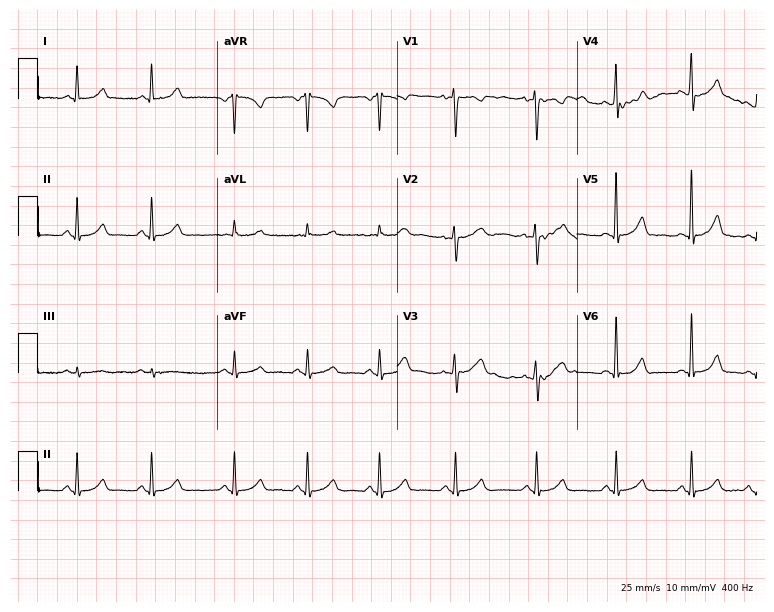
12-lead ECG from a female patient, 48 years old (7.3-second recording at 400 Hz). No first-degree AV block, right bundle branch block, left bundle branch block, sinus bradycardia, atrial fibrillation or sinus tachycardia recorded for this tracing. Other findings, if any, are not listed.